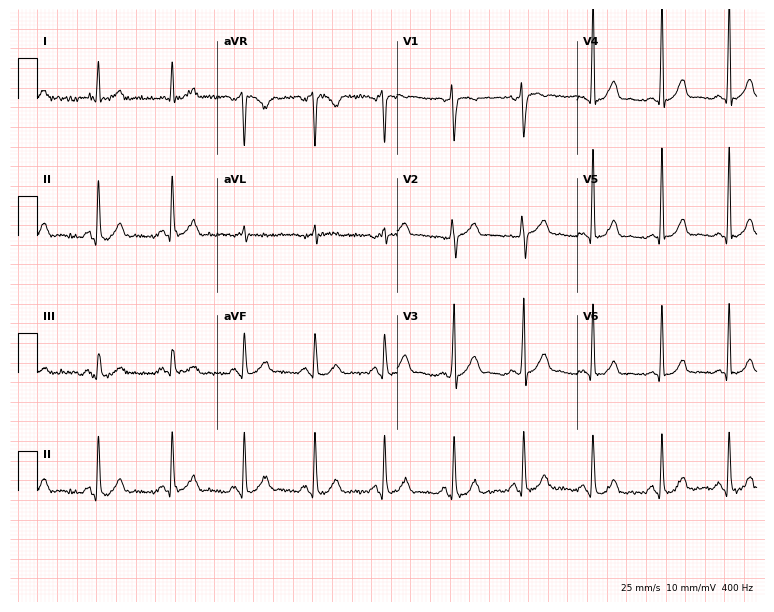
Resting 12-lead electrocardiogram (7.3-second recording at 400 Hz). Patient: a 35-year-old man. Read as a normal ECG.